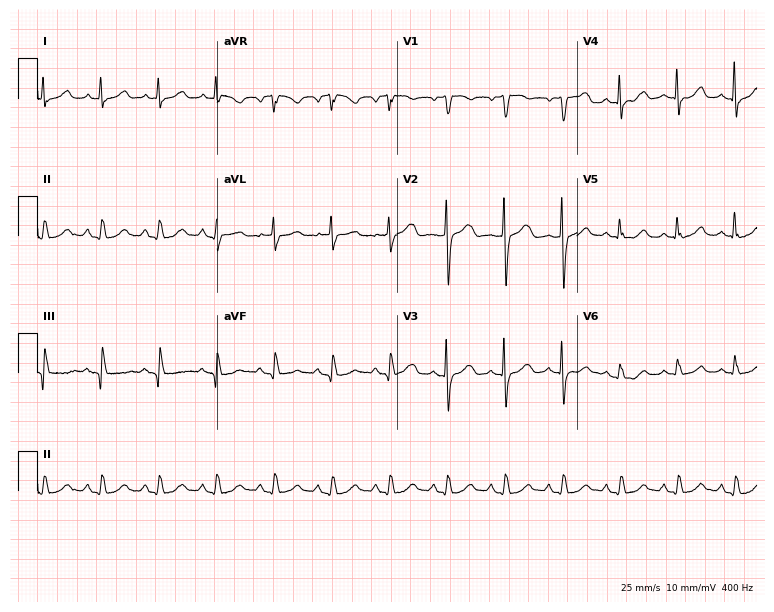
Electrocardiogram, a 75-year-old woman. Of the six screened findings (first-degree AV block, right bundle branch block (RBBB), left bundle branch block (LBBB), sinus bradycardia, atrial fibrillation (AF), sinus tachycardia), none is recorded.